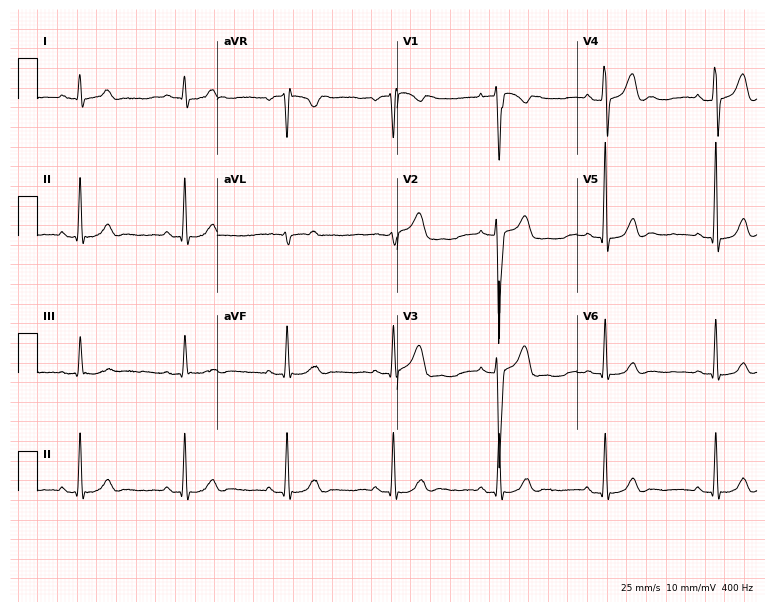
ECG — a male patient, 32 years old. Labelled as a normal ECG.